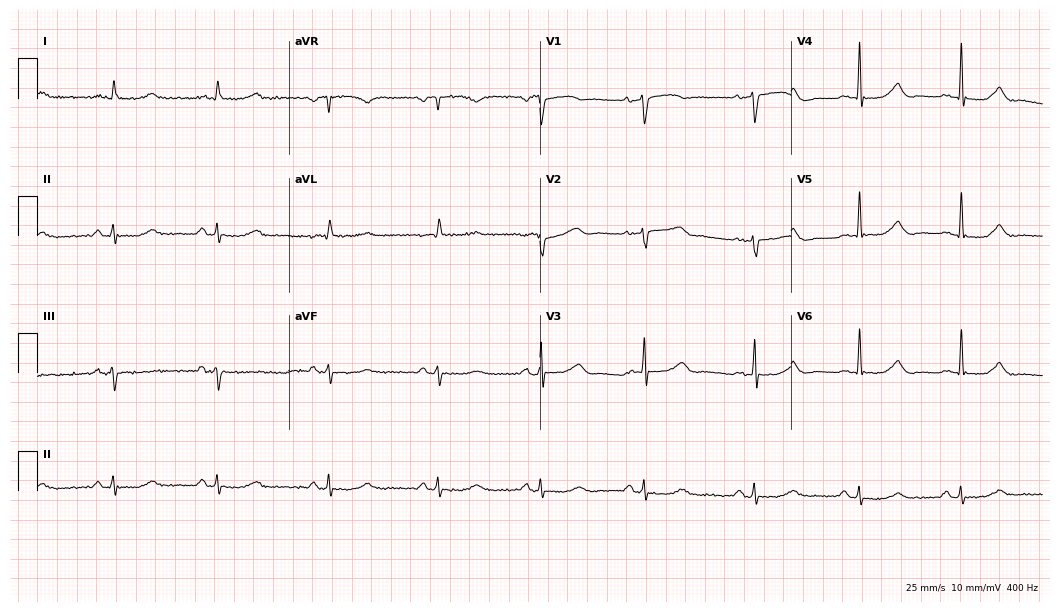
Resting 12-lead electrocardiogram (10.2-second recording at 400 Hz). Patient: a man, 71 years old. None of these six findings is recorded: first-degree AV block, right bundle branch block, left bundle branch block, sinus bradycardia, atrial fibrillation, sinus tachycardia. Other findings, if any, are not listed.